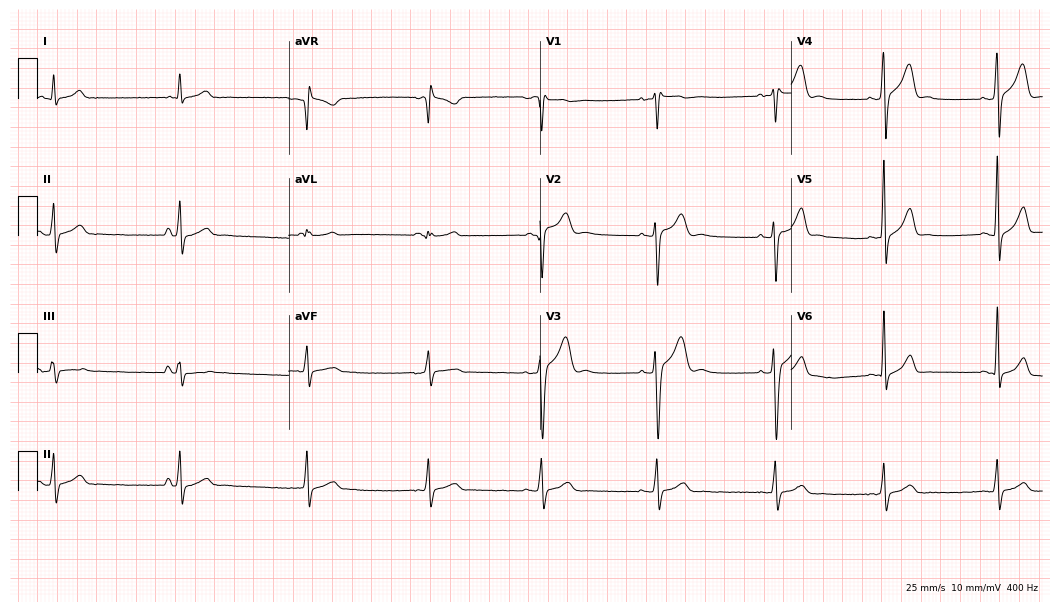
Electrocardiogram, a 19-year-old man. Overall reading on record: normal ECG.